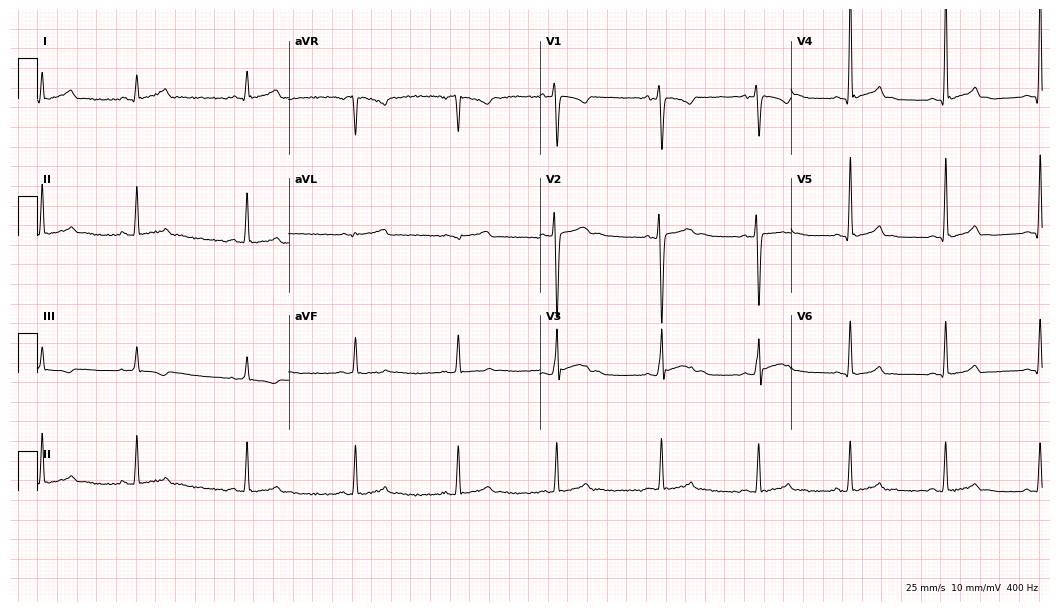
Resting 12-lead electrocardiogram (10.2-second recording at 400 Hz). Patient: a male, 17 years old. None of these six findings is recorded: first-degree AV block, right bundle branch block, left bundle branch block, sinus bradycardia, atrial fibrillation, sinus tachycardia. Other findings, if any, are not listed.